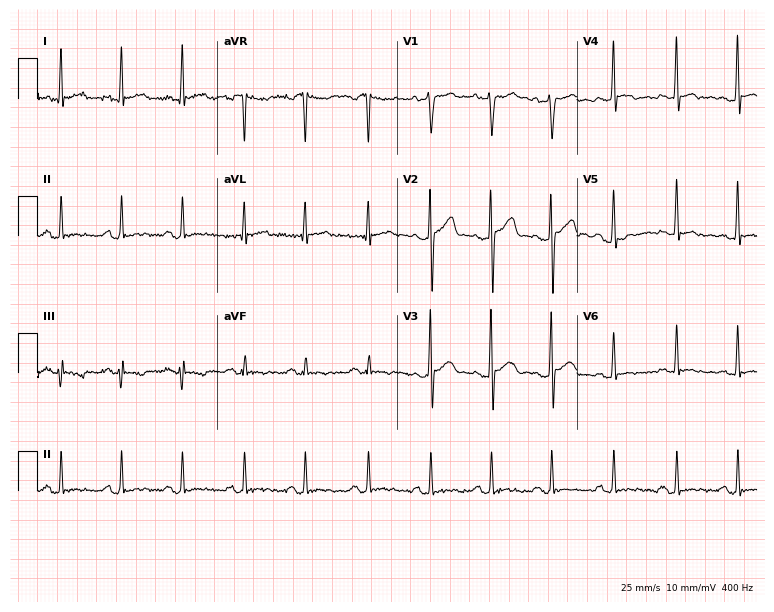
12-lead ECG from a 34-year-old male (7.3-second recording at 400 Hz). No first-degree AV block, right bundle branch block, left bundle branch block, sinus bradycardia, atrial fibrillation or sinus tachycardia recorded for this tracing.